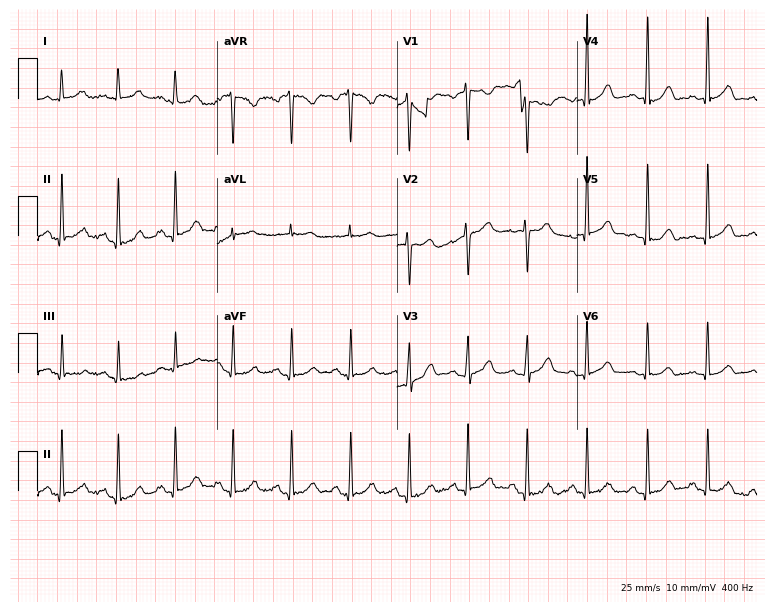
12-lead ECG from a woman, 48 years old. Shows sinus tachycardia (a sinus rate of 100 beats per minute or more).